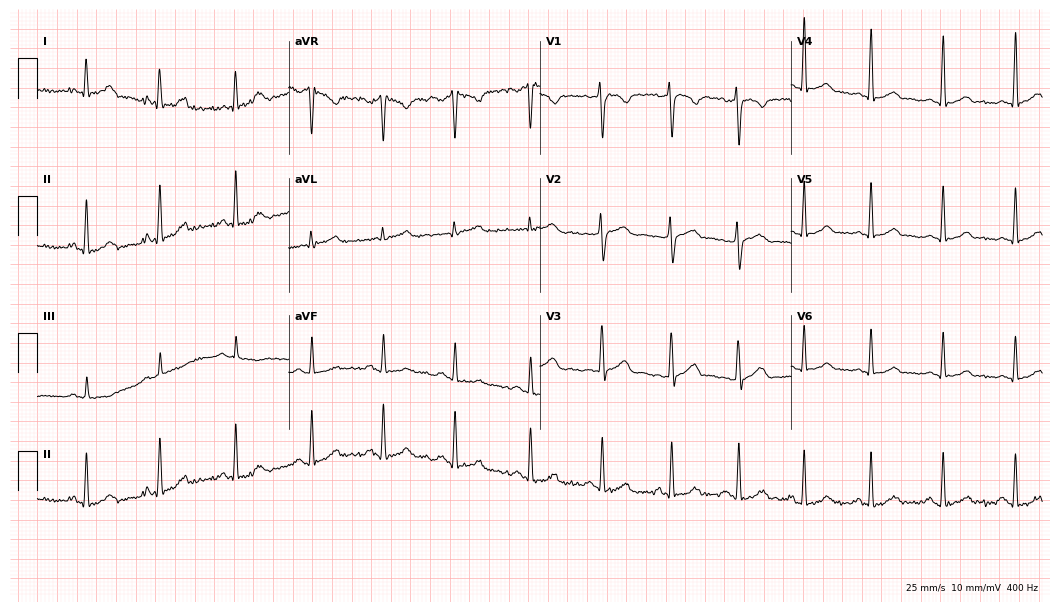
12-lead ECG from an 18-year-old female patient. Labelled as a normal ECG.